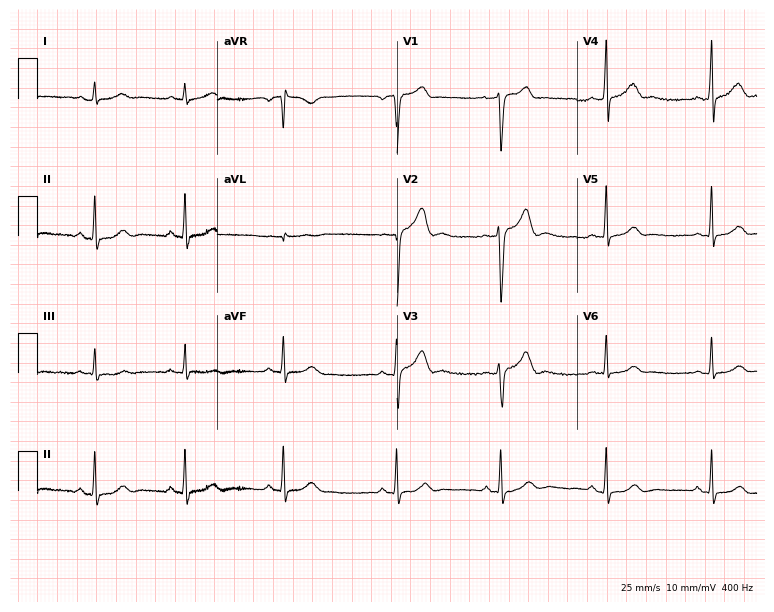
ECG (7.3-second recording at 400 Hz) — a man, 32 years old. Screened for six findings — first-degree AV block, right bundle branch block, left bundle branch block, sinus bradycardia, atrial fibrillation, sinus tachycardia — none is recorded. Other findings, if any, are not listed.